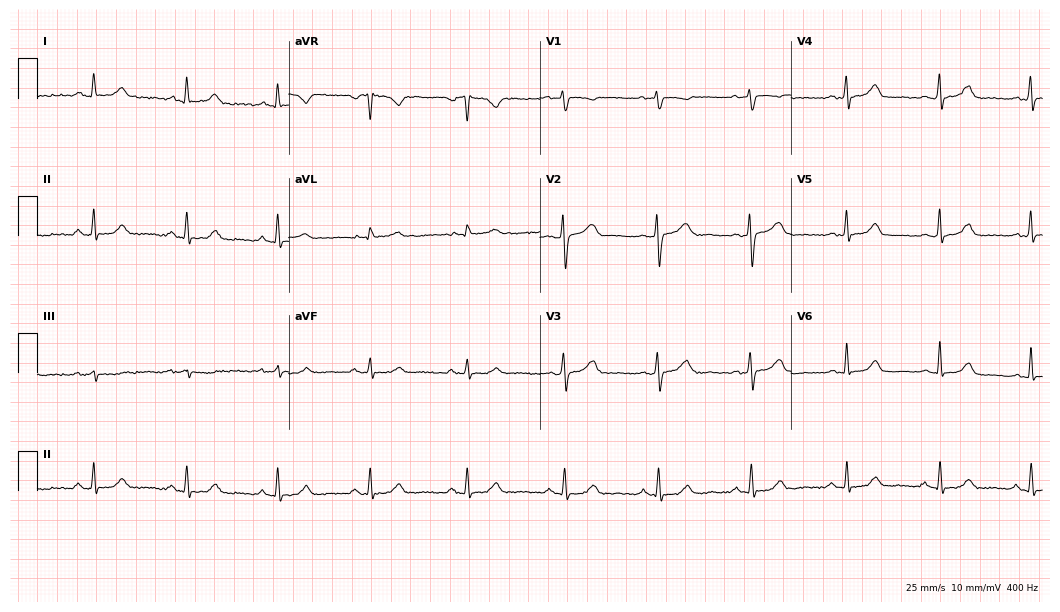
ECG — a 68-year-old woman. Screened for six findings — first-degree AV block, right bundle branch block (RBBB), left bundle branch block (LBBB), sinus bradycardia, atrial fibrillation (AF), sinus tachycardia — none is recorded.